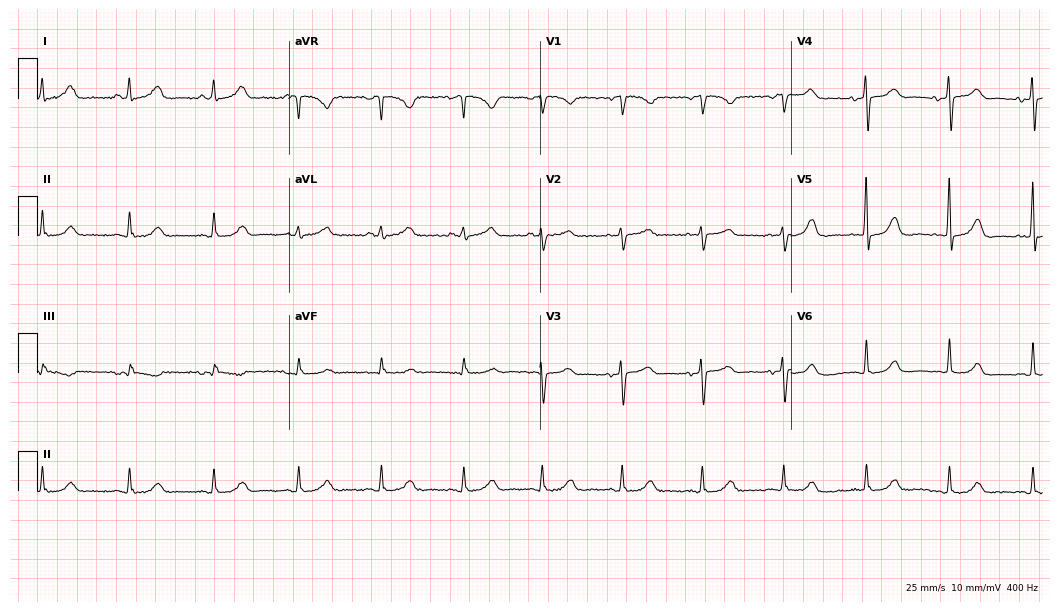
12-lead ECG (10.2-second recording at 400 Hz) from a 62-year-old female patient. Labelled as a normal ECG.